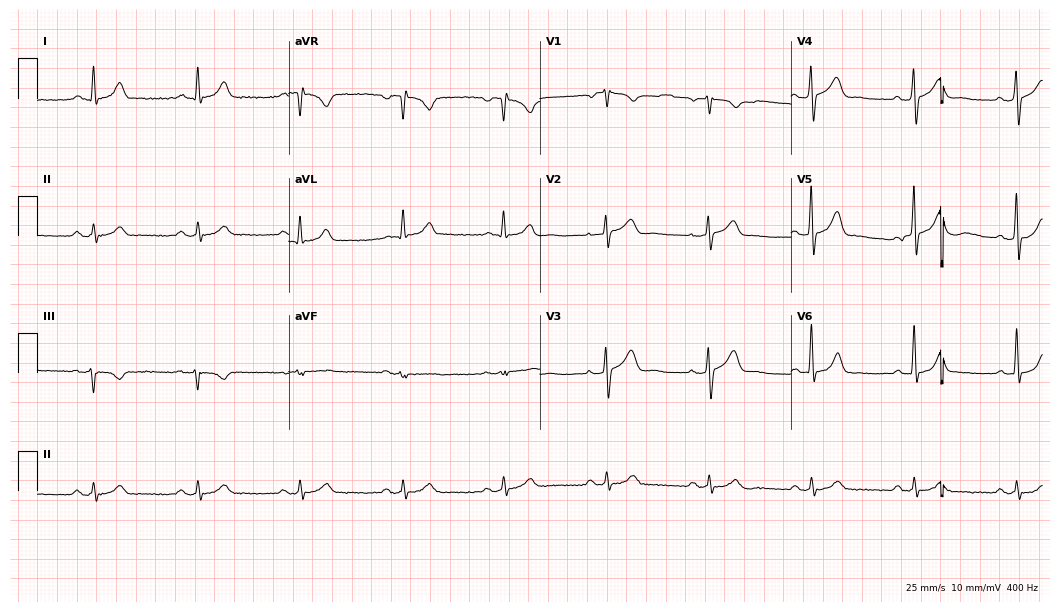
Standard 12-lead ECG recorded from a man, 55 years old. None of these six findings is recorded: first-degree AV block, right bundle branch block (RBBB), left bundle branch block (LBBB), sinus bradycardia, atrial fibrillation (AF), sinus tachycardia.